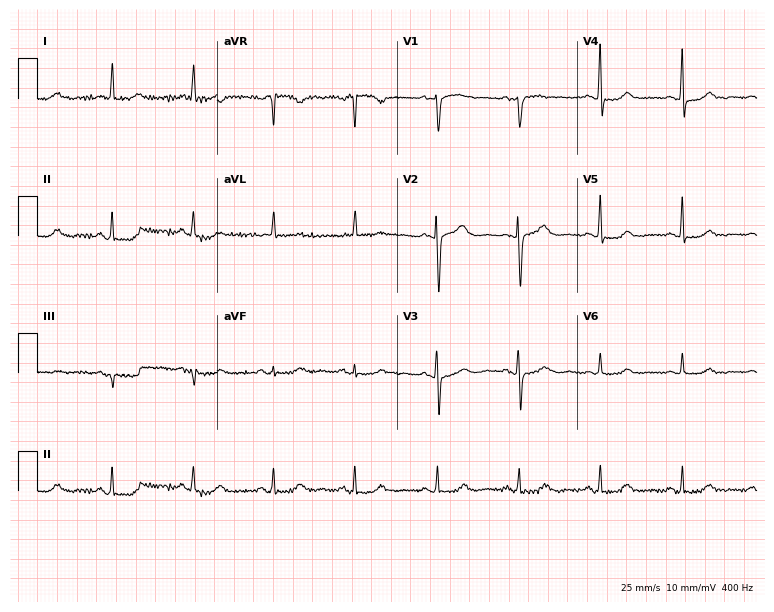
Electrocardiogram (7.3-second recording at 400 Hz), a female patient, 77 years old. Overall reading on record: normal ECG.